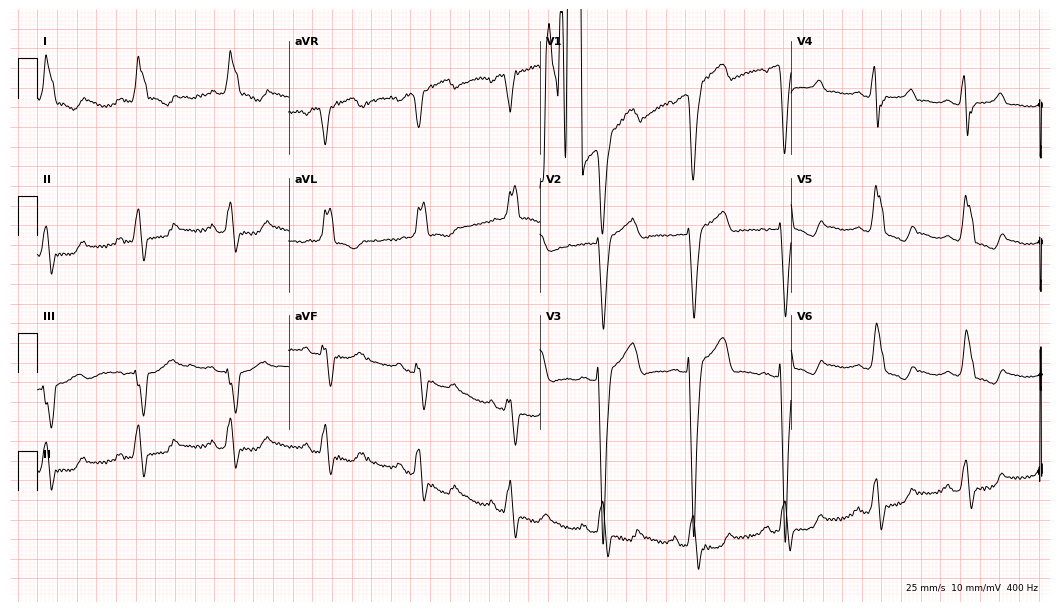
12-lead ECG from a woman, 78 years old (10.2-second recording at 400 Hz). Shows left bundle branch block.